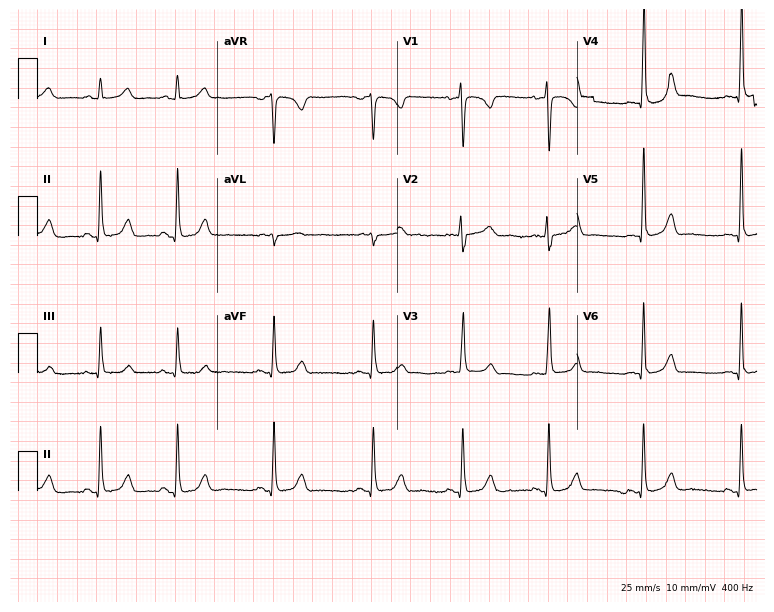
12-lead ECG from a woman, 25 years old (7.3-second recording at 400 Hz). Recorded interpretation: within normal limits.